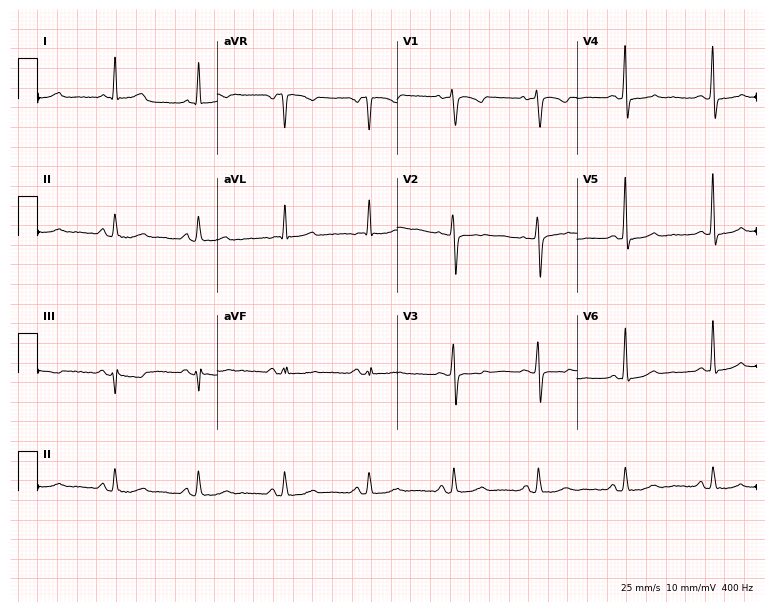
Electrocardiogram (7.3-second recording at 400 Hz), a female, 64 years old. Of the six screened findings (first-degree AV block, right bundle branch block, left bundle branch block, sinus bradycardia, atrial fibrillation, sinus tachycardia), none is recorded.